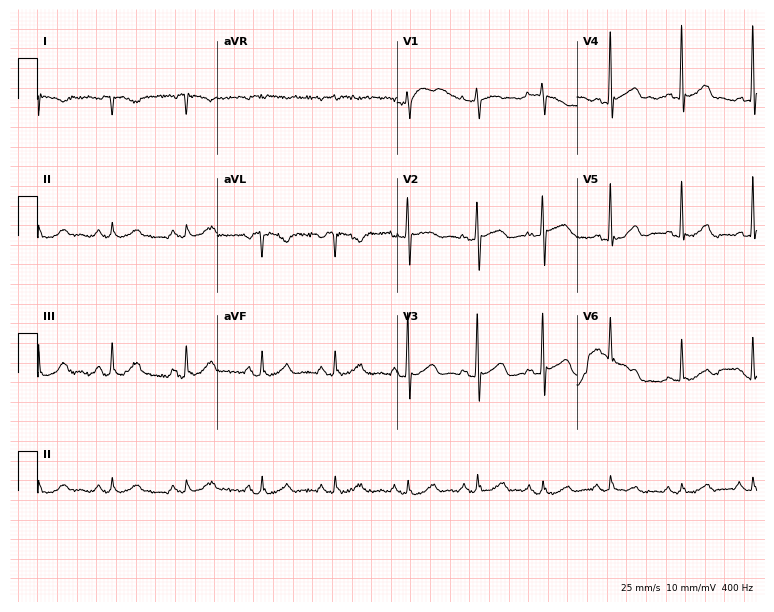
Standard 12-lead ECG recorded from a 67-year-old male (7.3-second recording at 400 Hz). None of these six findings is recorded: first-degree AV block, right bundle branch block, left bundle branch block, sinus bradycardia, atrial fibrillation, sinus tachycardia.